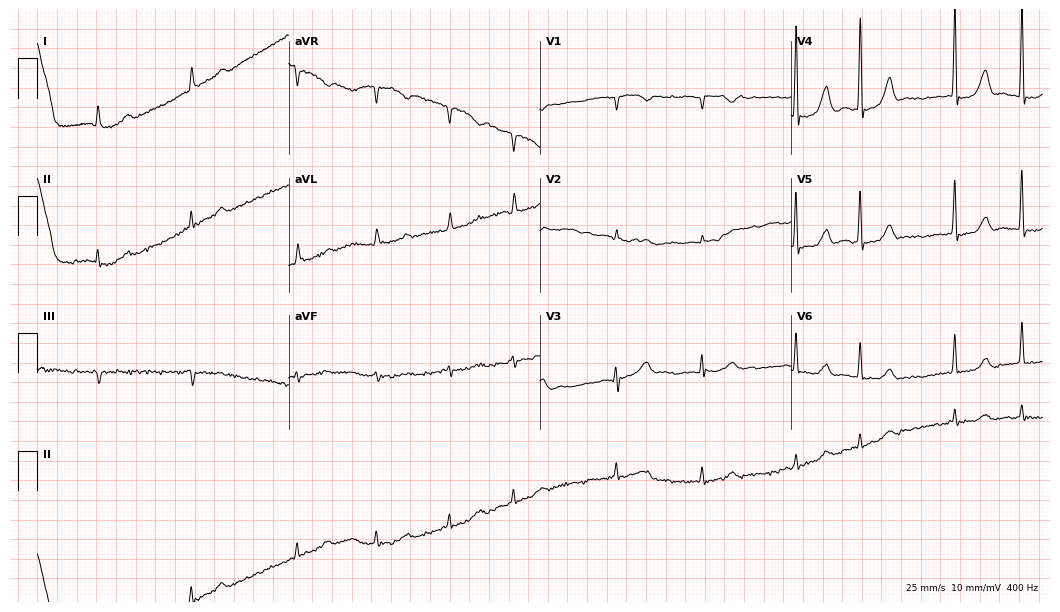
12-lead ECG from a male, 82 years old. Shows atrial fibrillation.